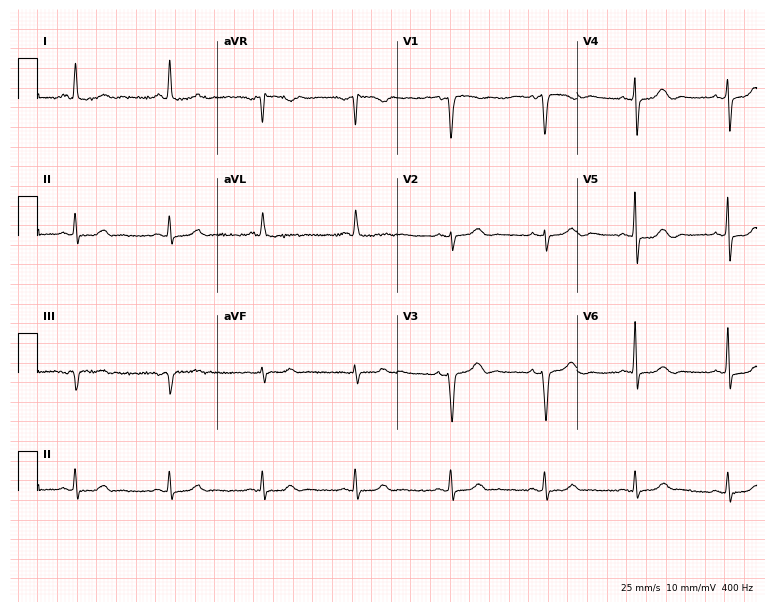
12-lead ECG (7.3-second recording at 400 Hz) from a 73-year-old woman. Screened for six findings — first-degree AV block, right bundle branch block (RBBB), left bundle branch block (LBBB), sinus bradycardia, atrial fibrillation (AF), sinus tachycardia — none is recorded. Other findings, if any, are not listed.